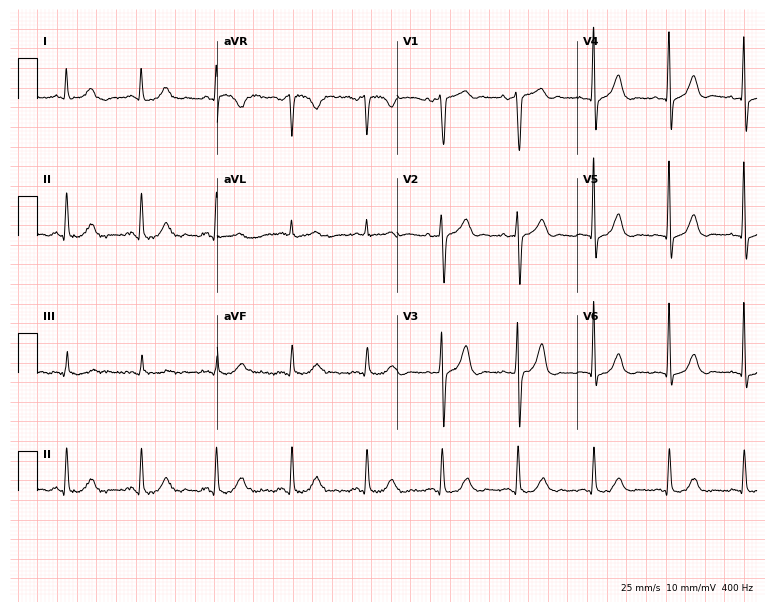
12-lead ECG (7.3-second recording at 400 Hz) from a 70-year-old male patient. Labelled as a normal ECG.